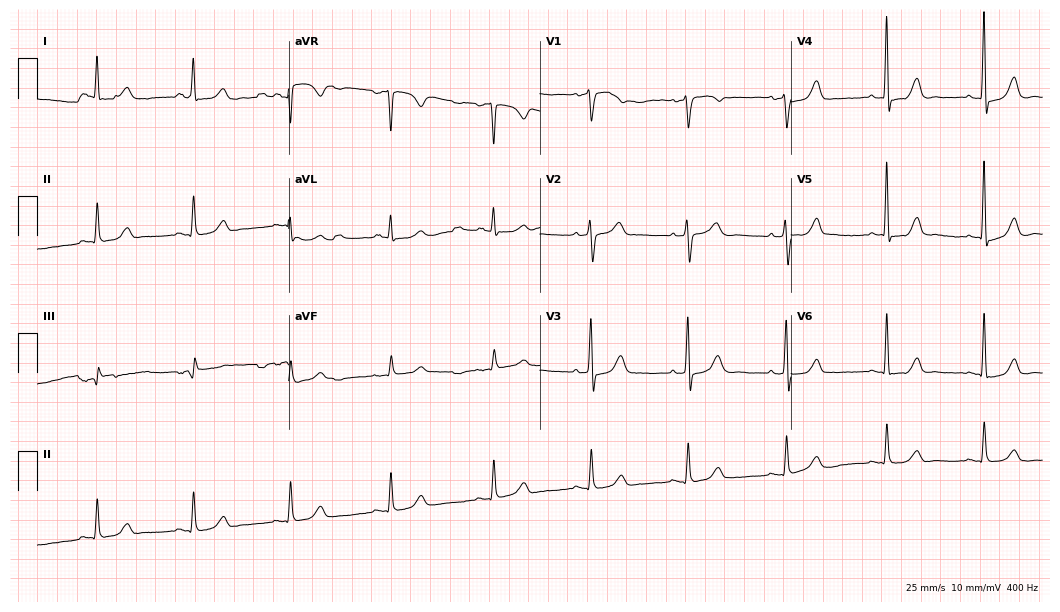
12-lead ECG (10.2-second recording at 400 Hz) from a female, 60 years old. Labelled as a normal ECG.